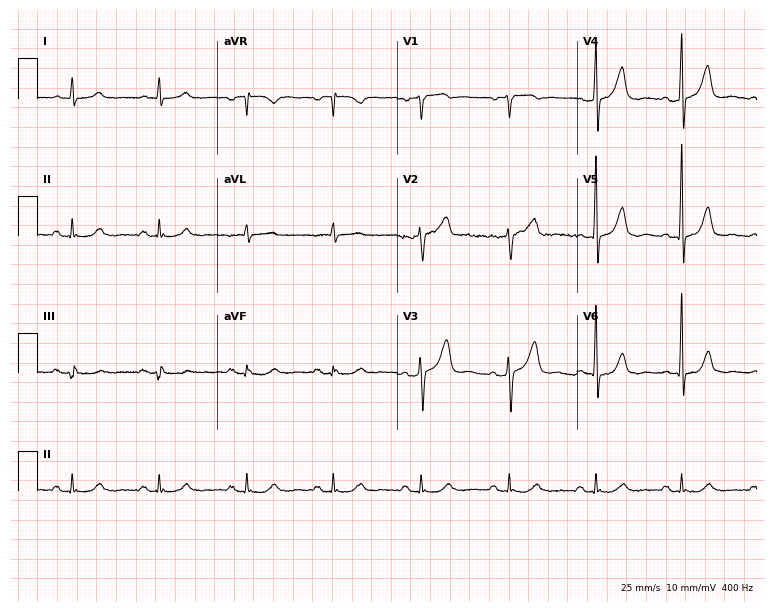
12-lead ECG from a man, 53 years old. Recorded interpretation: within normal limits.